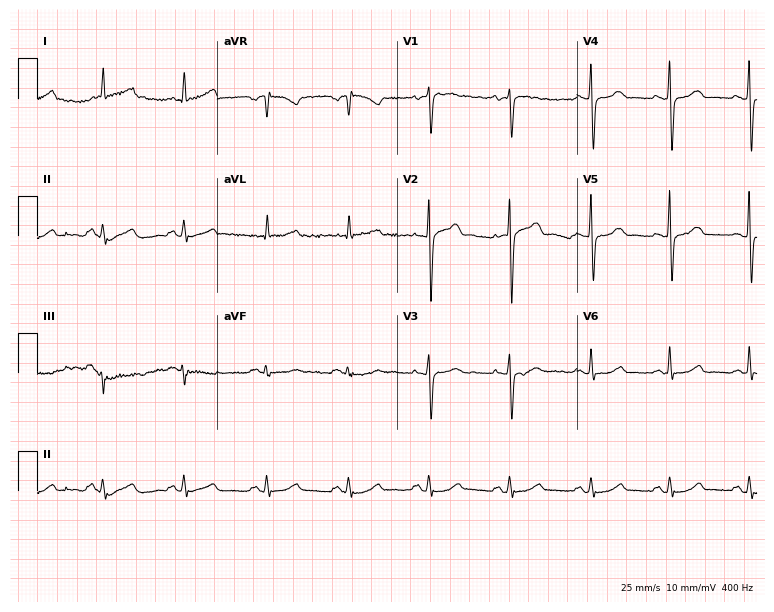
12-lead ECG from a 60-year-old woman. Recorded interpretation: within normal limits.